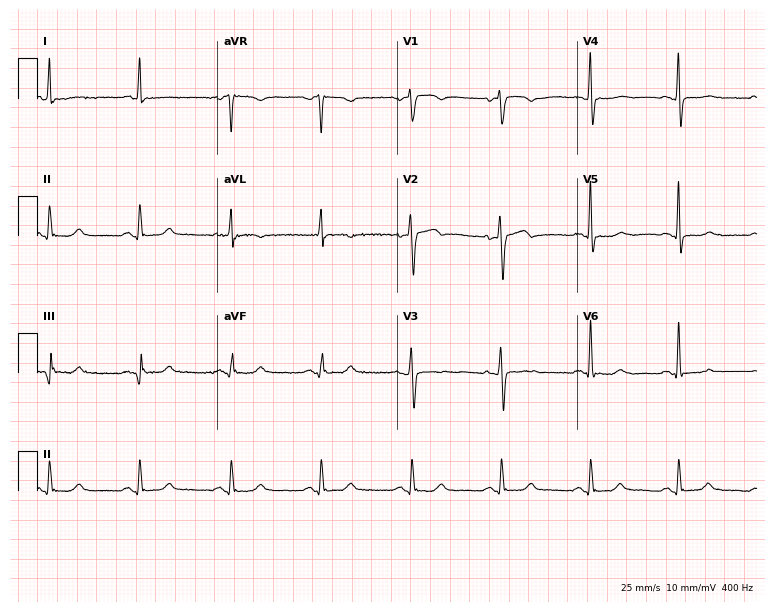
Standard 12-lead ECG recorded from a female patient, 53 years old (7.3-second recording at 400 Hz). None of these six findings is recorded: first-degree AV block, right bundle branch block (RBBB), left bundle branch block (LBBB), sinus bradycardia, atrial fibrillation (AF), sinus tachycardia.